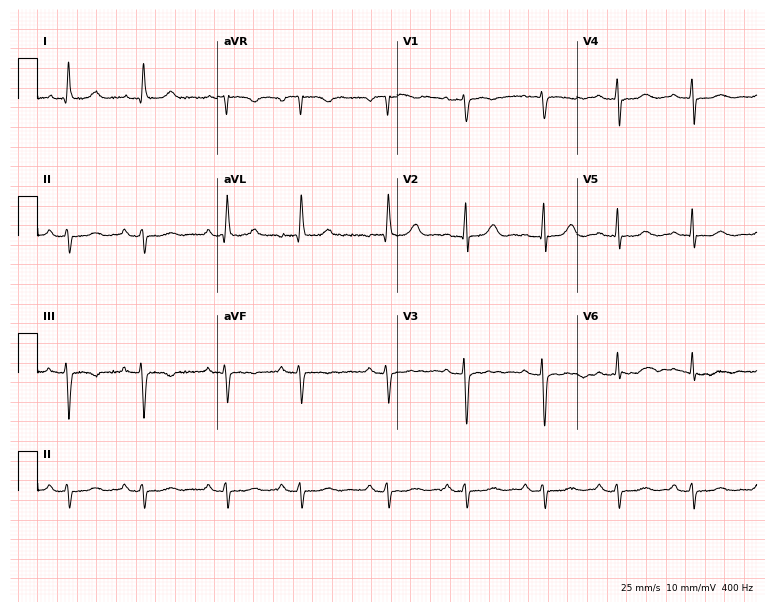
ECG — an 80-year-old female patient. Screened for six findings — first-degree AV block, right bundle branch block (RBBB), left bundle branch block (LBBB), sinus bradycardia, atrial fibrillation (AF), sinus tachycardia — none is recorded. Only these six findings were labelled.